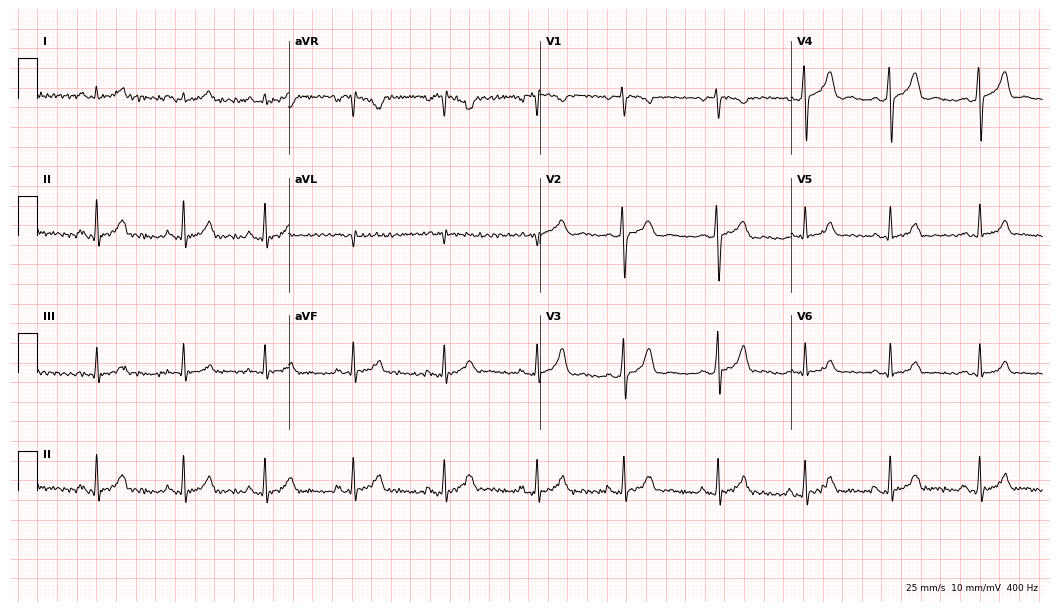
Resting 12-lead electrocardiogram. Patient: a 19-year-old woman. None of these six findings is recorded: first-degree AV block, right bundle branch block, left bundle branch block, sinus bradycardia, atrial fibrillation, sinus tachycardia.